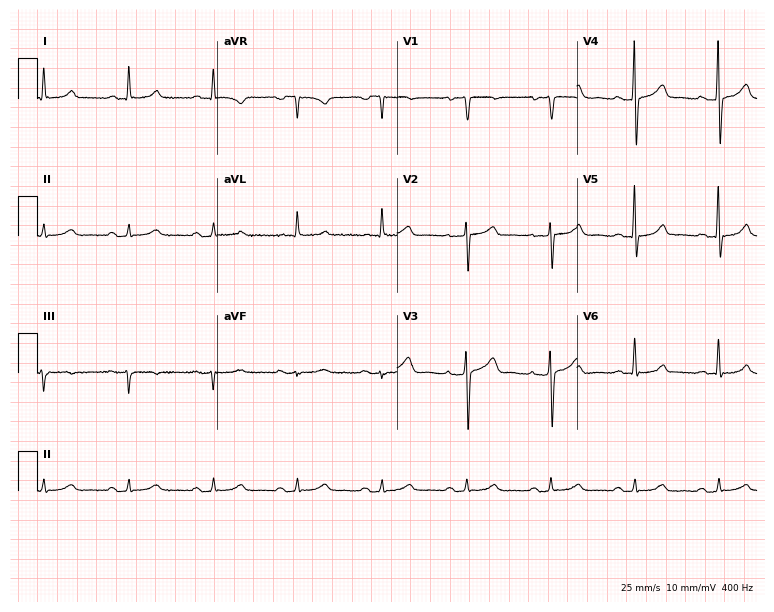
12-lead ECG from a 55-year-old female patient. Labelled as a normal ECG.